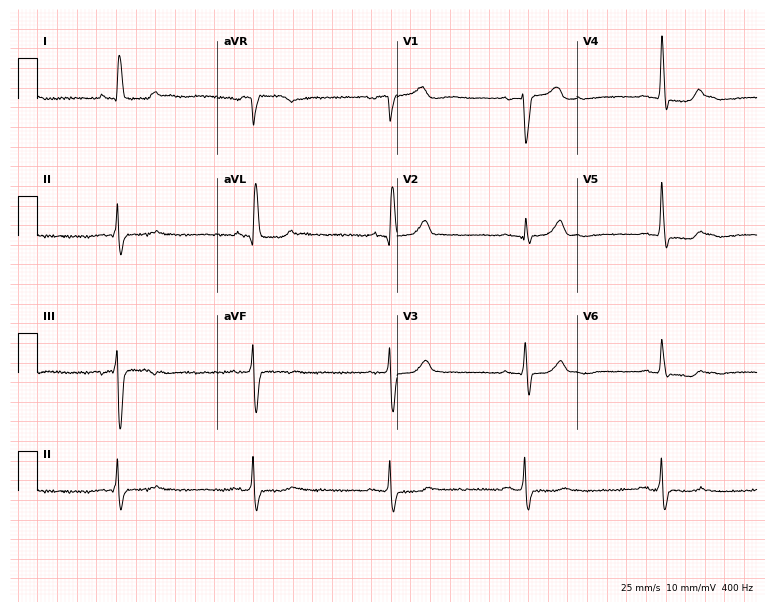
Resting 12-lead electrocardiogram. Patient: a woman, 72 years old. None of these six findings is recorded: first-degree AV block, right bundle branch block, left bundle branch block, sinus bradycardia, atrial fibrillation, sinus tachycardia. Only these six findings were labelled.